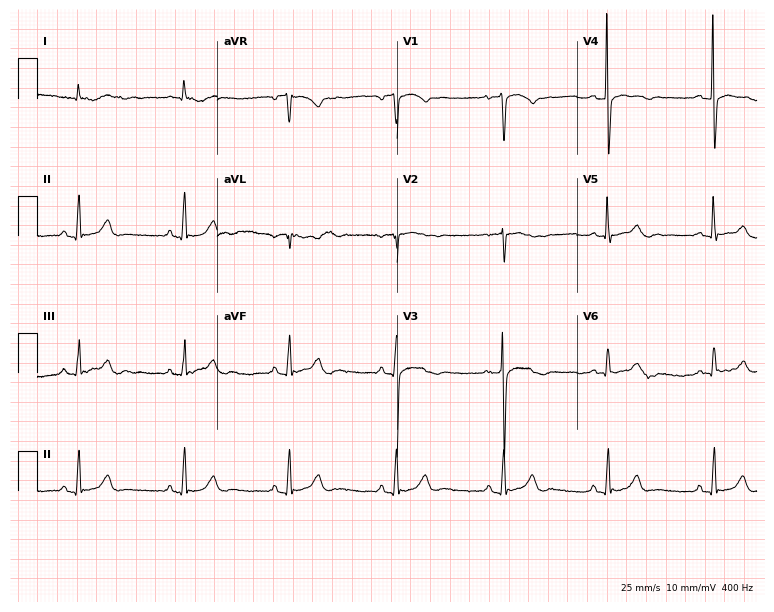
12-lead ECG from a 43-year-old male. Recorded interpretation: within normal limits.